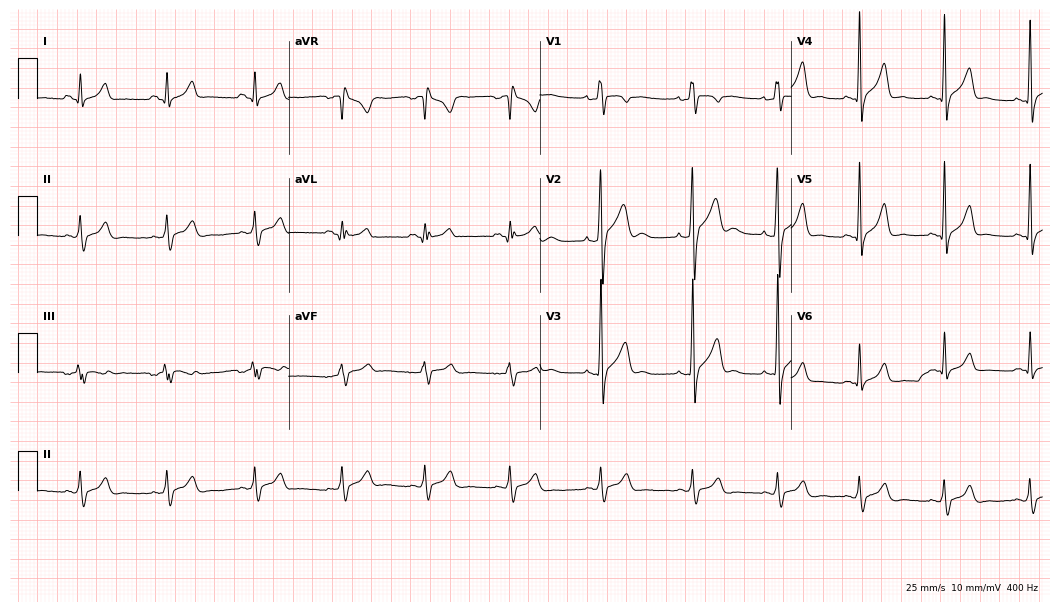
Resting 12-lead electrocardiogram. Patient: a male, 17 years old. None of these six findings is recorded: first-degree AV block, right bundle branch block, left bundle branch block, sinus bradycardia, atrial fibrillation, sinus tachycardia. Only these six findings were labelled.